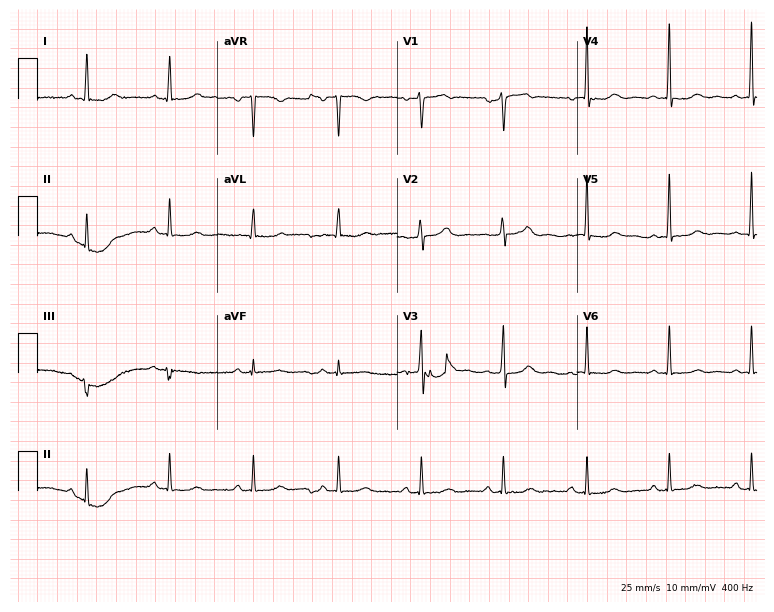
Standard 12-lead ECG recorded from a woman, 61 years old (7.3-second recording at 400 Hz). None of these six findings is recorded: first-degree AV block, right bundle branch block, left bundle branch block, sinus bradycardia, atrial fibrillation, sinus tachycardia.